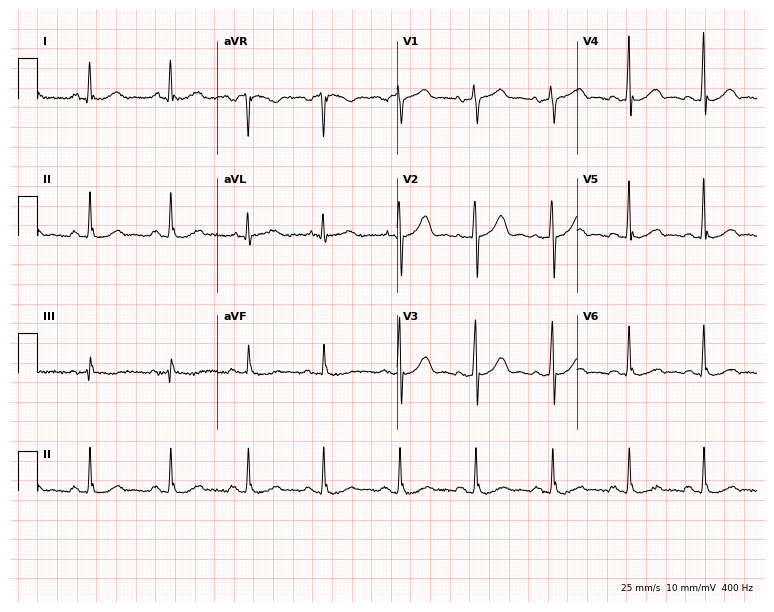
Electrocardiogram (7.3-second recording at 400 Hz), a 69-year-old female. Of the six screened findings (first-degree AV block, right bundle branch block, left bundle branch block, sinus bradycardia, atrial fibrillation, sinus tachycardia), none is recorded. Other findings, if any, are not listed.